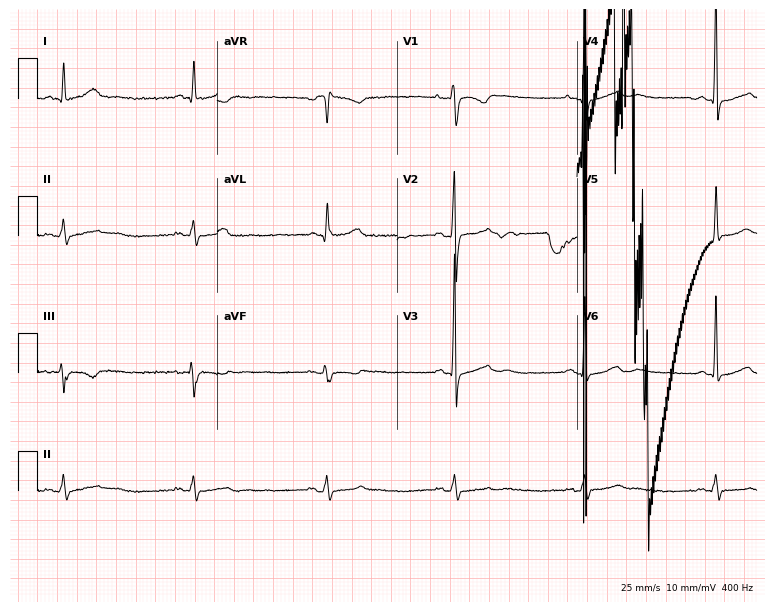
ECG — a male patient, 69 years old. Screened for six findings — first-degree AV block, right bundle branch block, left bundle branch block, sinus bradycardia, atrial fibrillation, sinus tachycardia — none is recorded. Other findings, if any, are not listed.